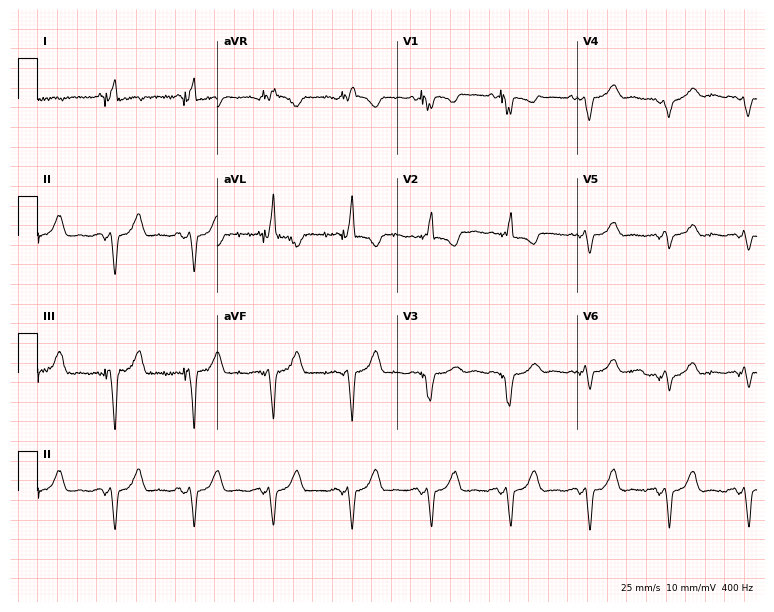
Resting 12-lead electrocardiogram (7.3-second recording at 400 Hz). Patient: a 77-year-old female. None of these six findings is recorded: first-degree AV block, right bundle branch block, left bundle branch block, sinus bradycardia, atrial fibrillation, sinus tachycardia.